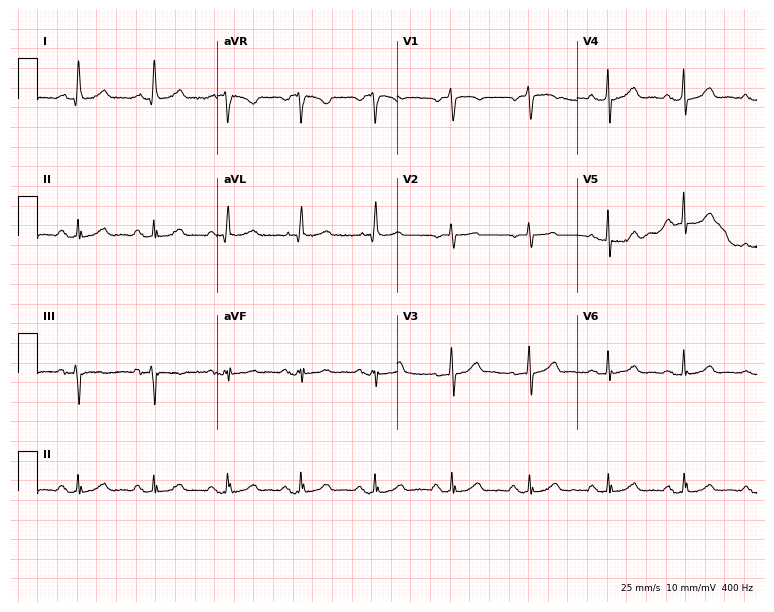
Standard 12-lead ECG recorded from a 69-year-old female (7.3-second recording at 400 Hz). Read as a normal ECG.